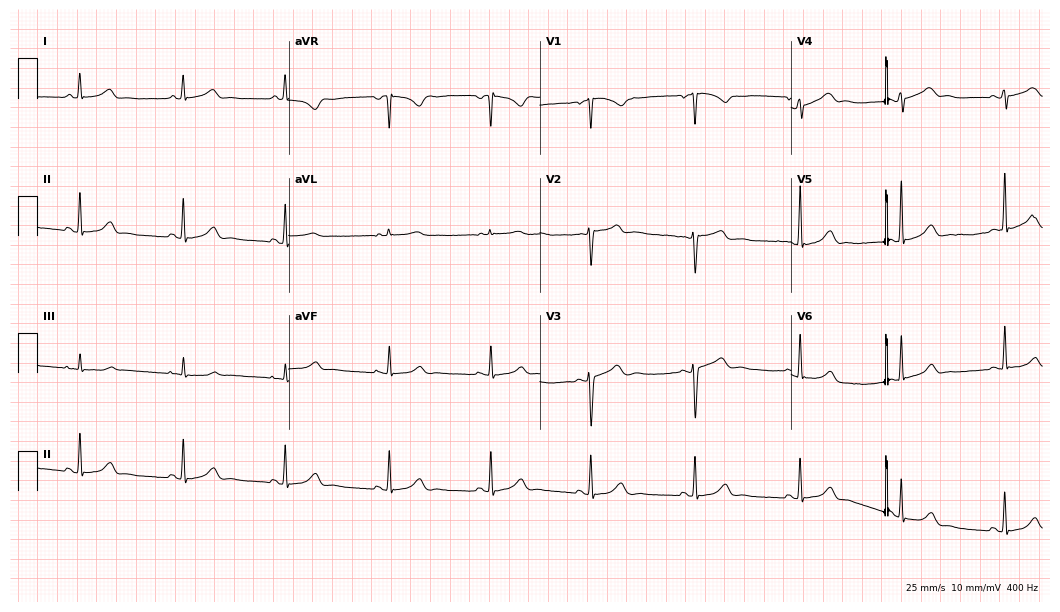
12-lead ECG from a female patient, 43 years old. Recorded interpretation: within normal limits.